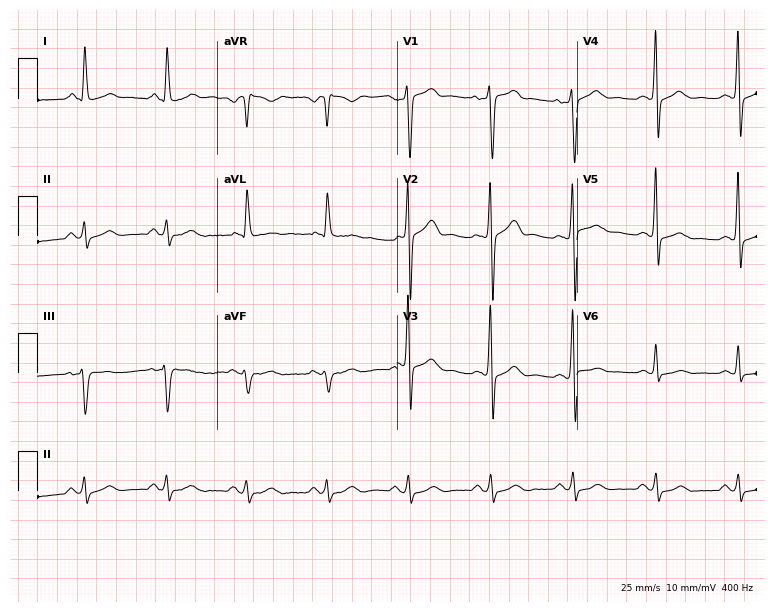
Resting 12-lead electrocardiogram (7.3-second recording at 400 Hz). Patient: a 55-year-old female. None of these six findings is recorded: first-degree AV block, right bundle branch block, left bundle branch block, sinus bradycardia, atrial fibrillation, sinus tachycardia. Other findings, if any, are not listed.